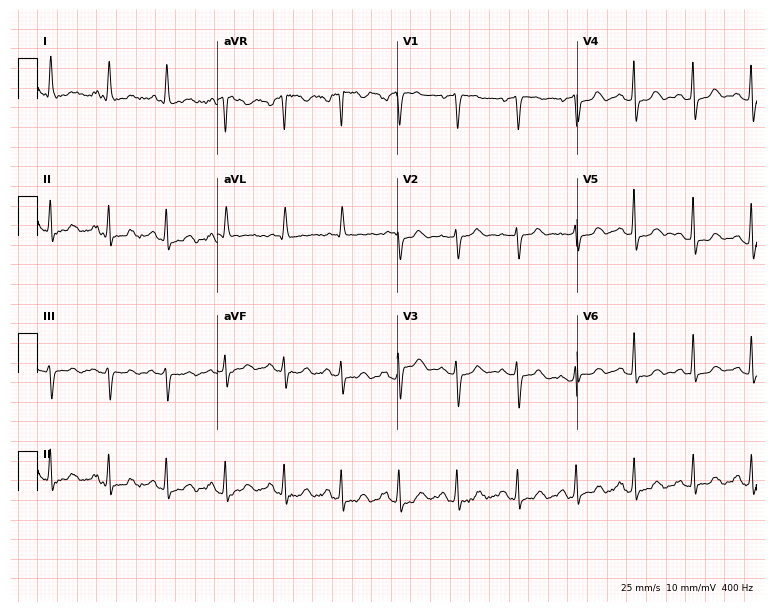
Resting 12-lead electrocardiogram. Patient: a 65-year-old female. The tracing shows sinus tachycardia (a sinus rate of 100 beats per minute or more).